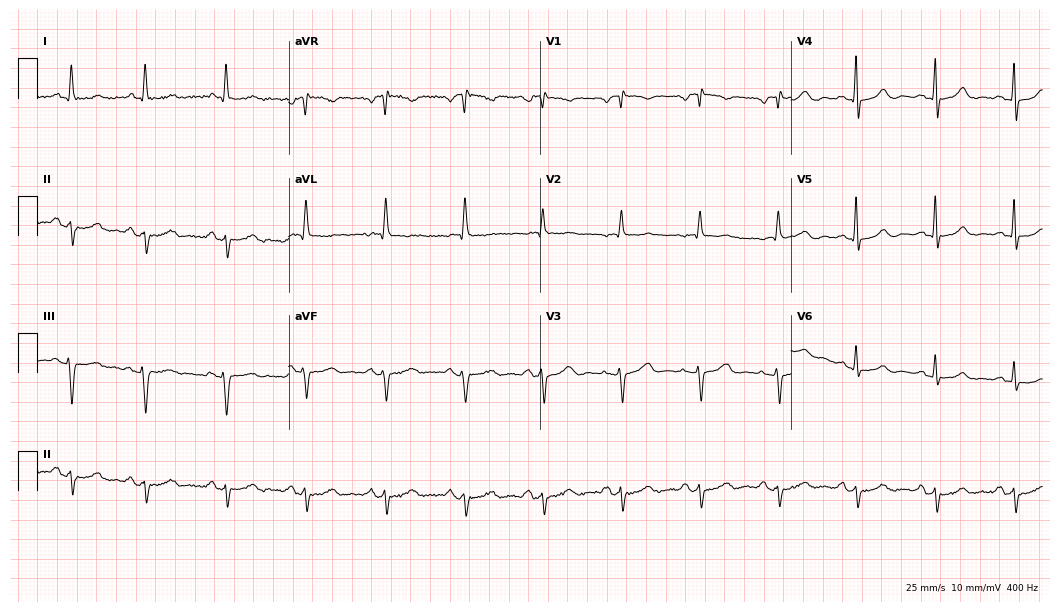
Standard 12-lead ECG recorded from a woman, 74 years old. None of these six findings is recorded: first-degree AV block, right bundle branch block (RBBB), left bundle branch block (LBBB), sinus bradycardia, atrial fibrillation (AF), sinus tachycardia.